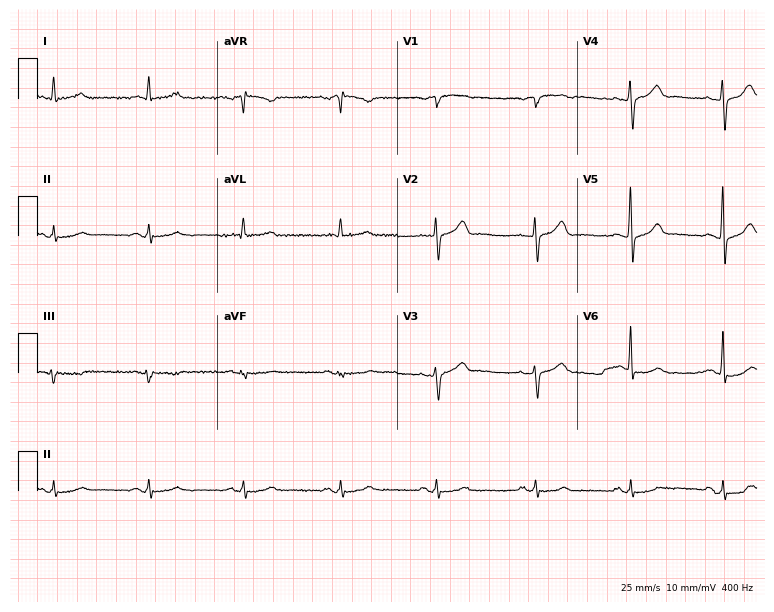
12-lead ECG (7.3-second recording at 400 Hz) from a male, 73 years old. Labelled as a normal ECG.